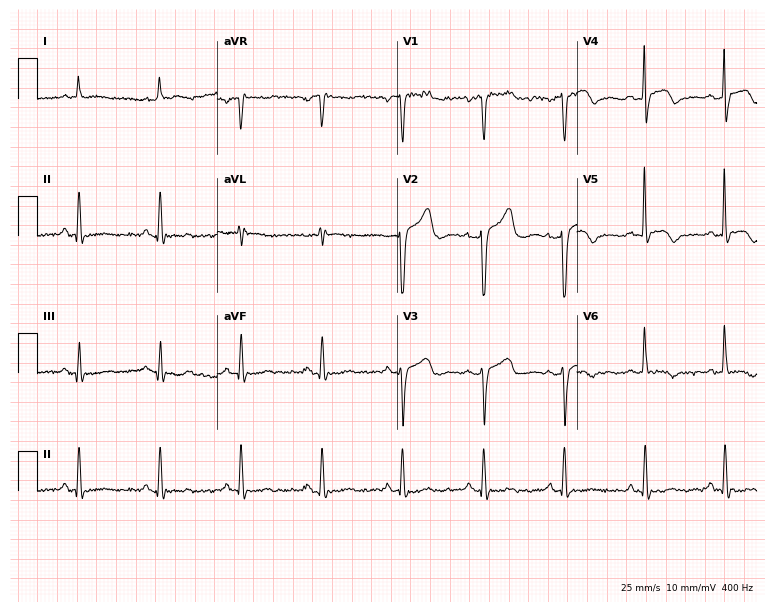
ECG (7.3-second recording at 400 Hz) — a female, 83 years old. Screened for six findings — first-degree AV block, right bundle branch block, left bundle branch block, sinus bradycardia, atrial fibrillation, sinus tachycardia — none is recorded.